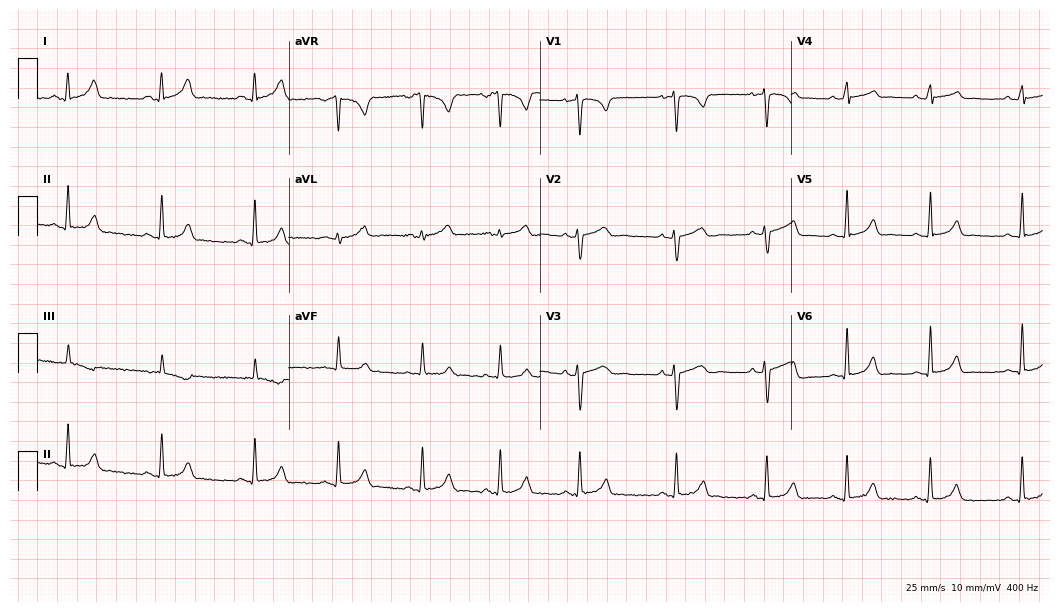
Resting 12-lead electrocardiogram. Patient: a 21-year-old female. None of these six findings is recorded: first-degree AV block, right bundle branch block, left bundle branch block, sinus bradycardia, atrial fibrillation, sinus tachycardia. Other findings, if any, are not listed.